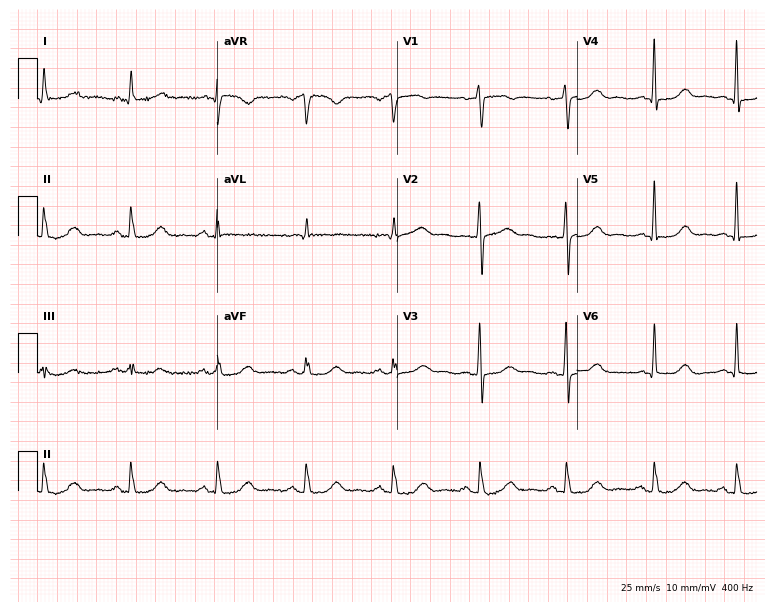
ECG (7.3-second recording at 400 Hz) — a female patient, 59 years old. Labelled as a normal ECG.